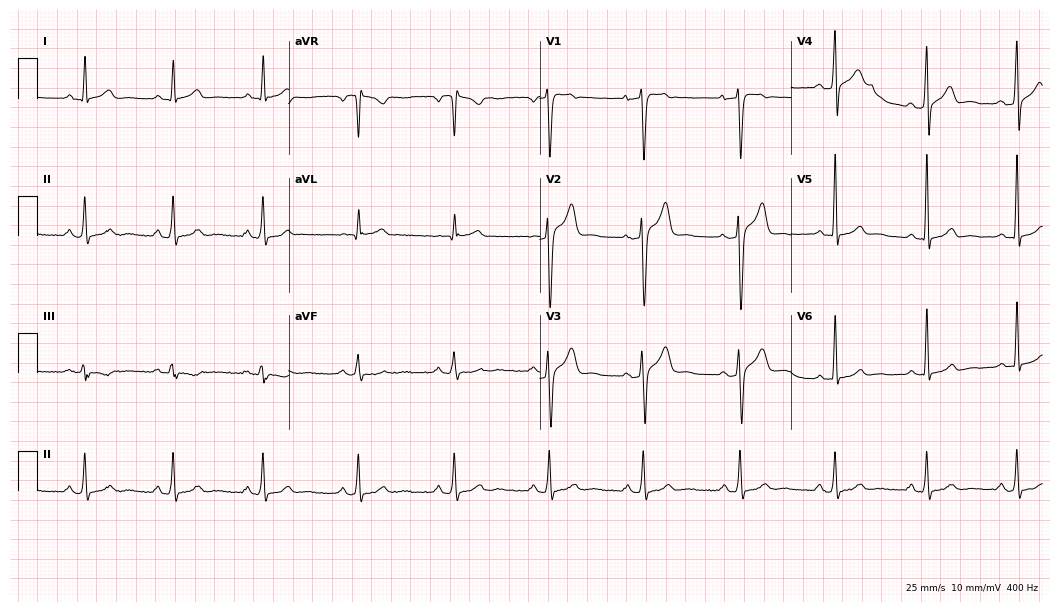
Standard 12-lead ECG recorded from a 36-year-old man. Read as a normal ECG.